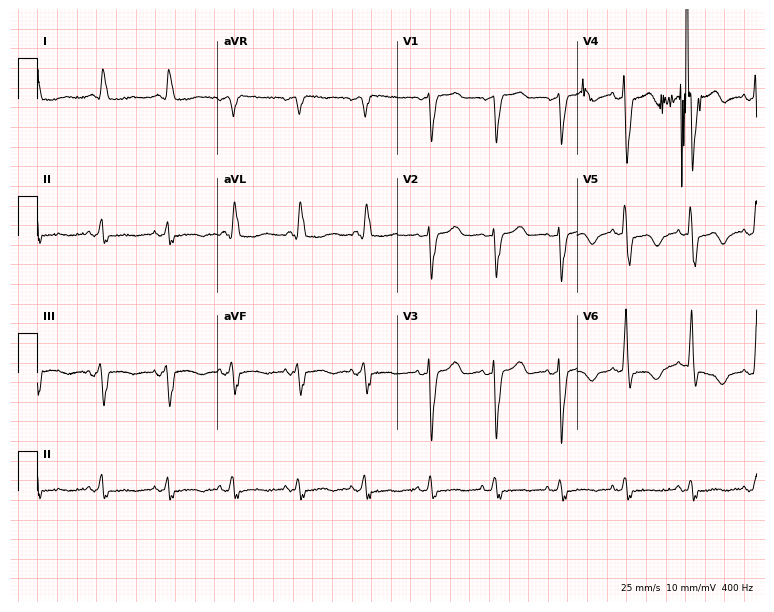
Standard 12-lead ECG recorded from a 77-year-old female (7.3-second recording at 400 Hz). None of these six findings is recorded: first-degree AV block, right bundle branch block, left bundle branch block, sinus bradycardia, atrial fibrillation, sinus tachycardia. Findings outside these six are not listed.